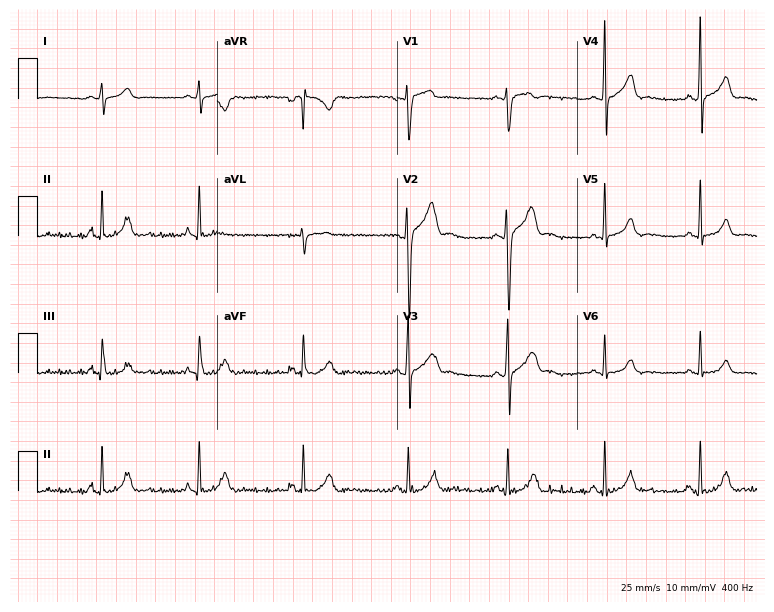
Standard 12-lead ECG recorded from a man, 18 years old. Read as a normal ECG.